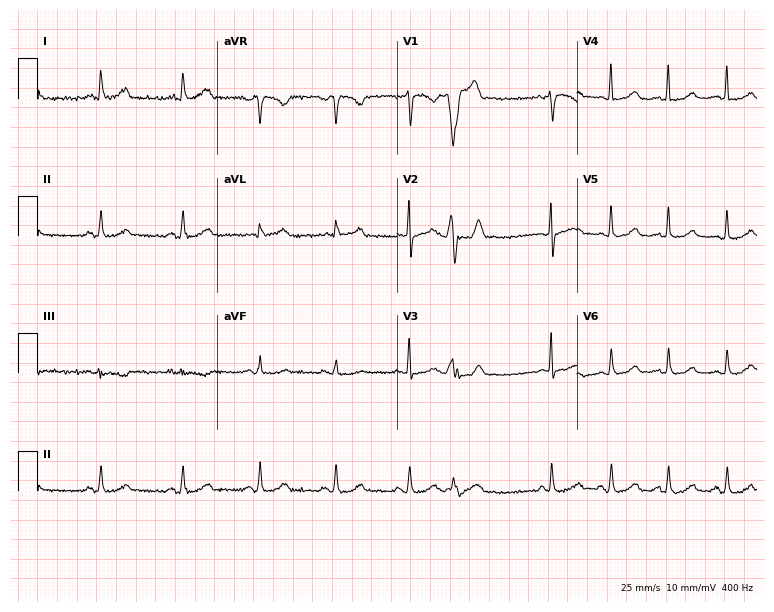
Electrocardiogram, a female, 39 years old. Of the six screened findings (first-degree AV block, right bundle branch block, left bundle branch block, sinus bradycardia, atrial fibrillation, sinus tachycardia), none is recorded. Only these six findings were labelled.